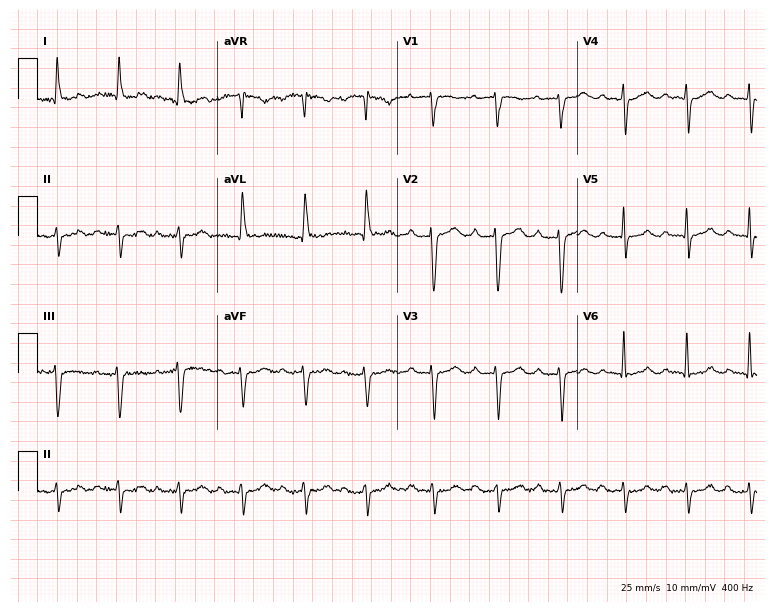
Resting 12-lead electrocardiogram. Patient: an 84-year-old female. The tracing shows first-degree AV block.